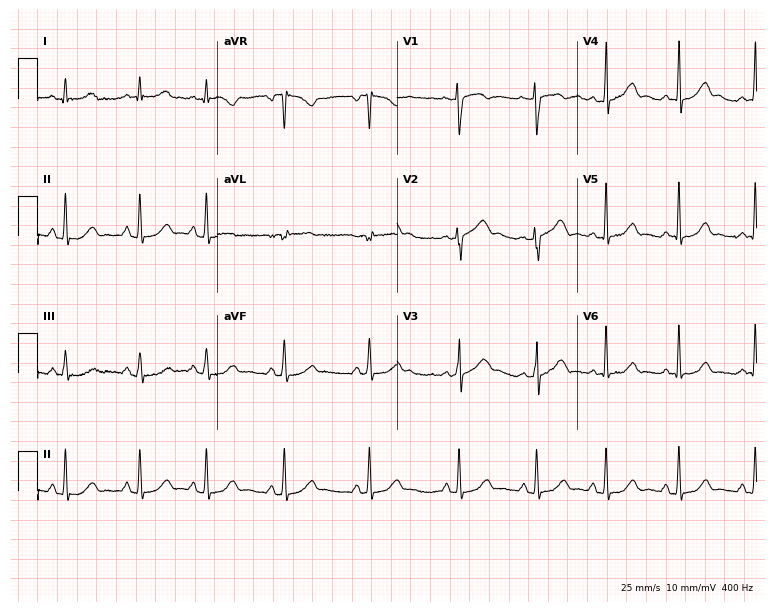
Electrocardiogram, a 24-year-old woman. Overall reading on record: normal ECG.